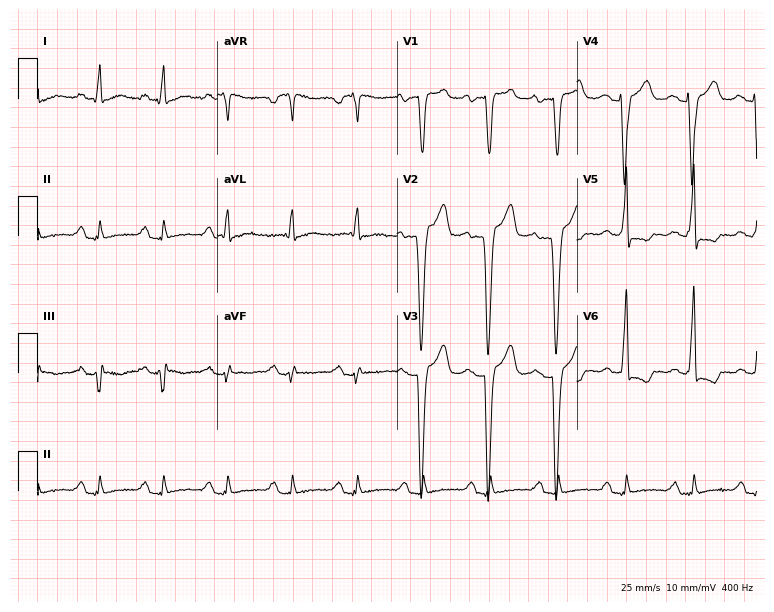
Standard 12-lead ECG recorded from a female patient, 40 years old (7.3-second recording at 400 Hz). None of these six findings is recorded: first-degree AV block, right bundle branch block, left bundle branch block, sinus bradycardia, atrial fibrillation, sinus tachycardia. Findings outside these six are not listed.